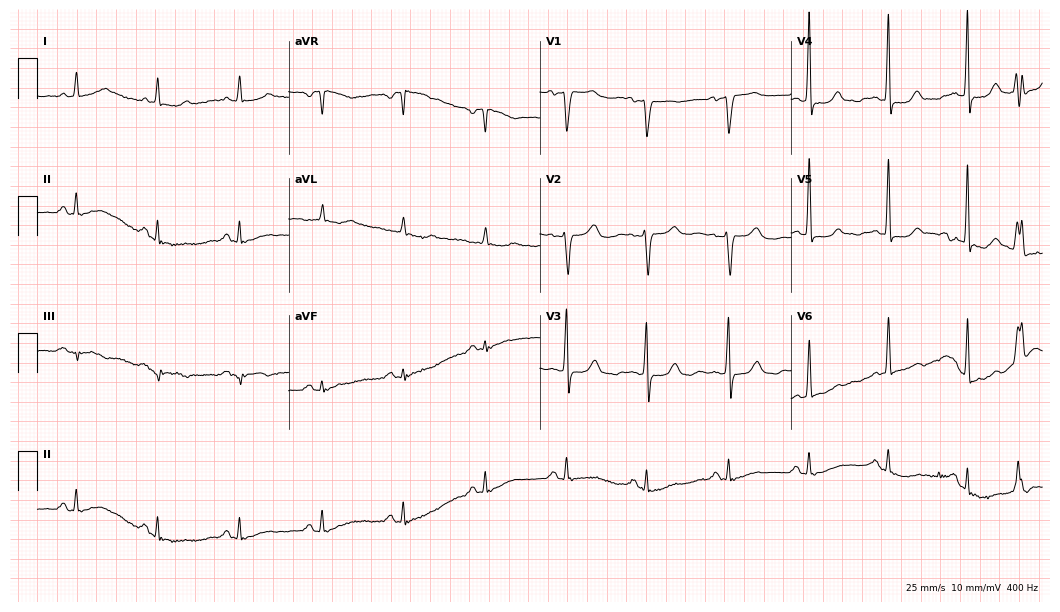
ECG — a 65-year-old female. Screened for six findings — first-degree AV block, right bundle branch block, left bundle branch block, sinus bradycardia, atrial fibrillation, sinus tachycardia — none is recorded.